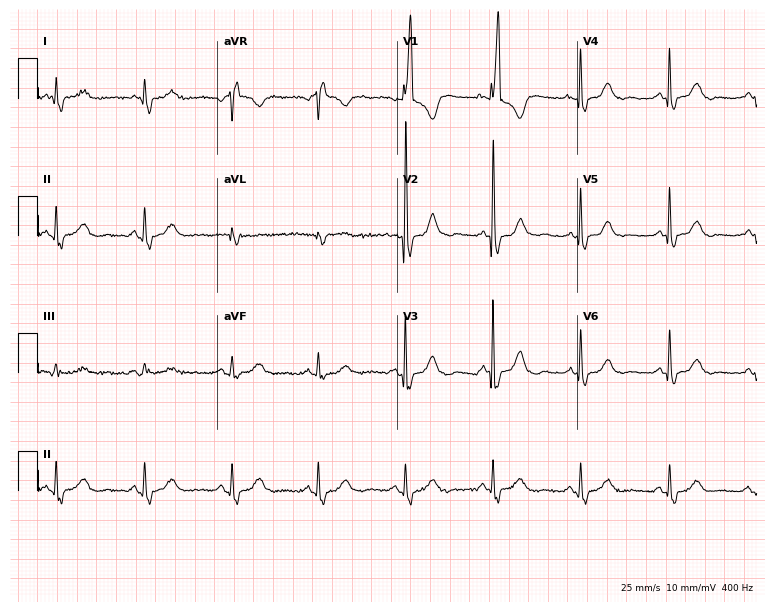
12-lead ECG (7.3-second recording at 400 Hz) from a woman, 85 years old. Findings include right bundle branch block.